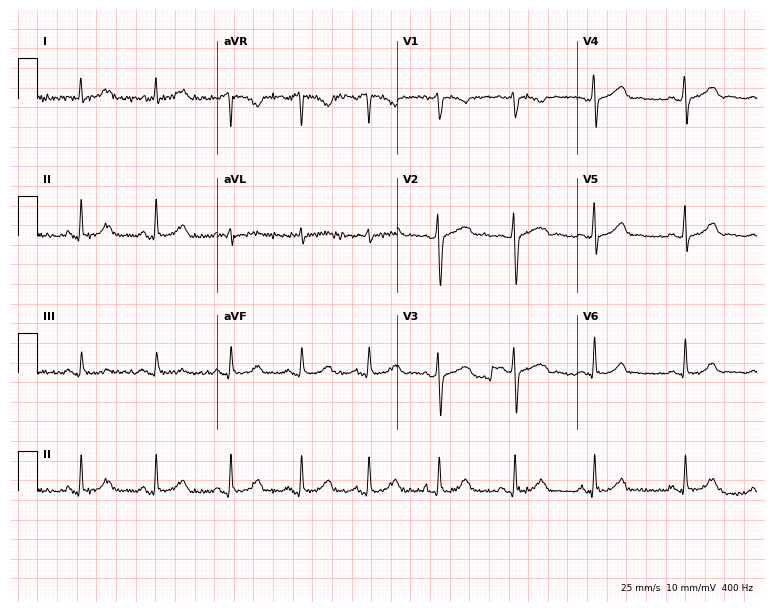
12-lead ECG from a 36-year-old female (7.3-second recording at 400 Hz). Recorded interpretation: within normal limits.